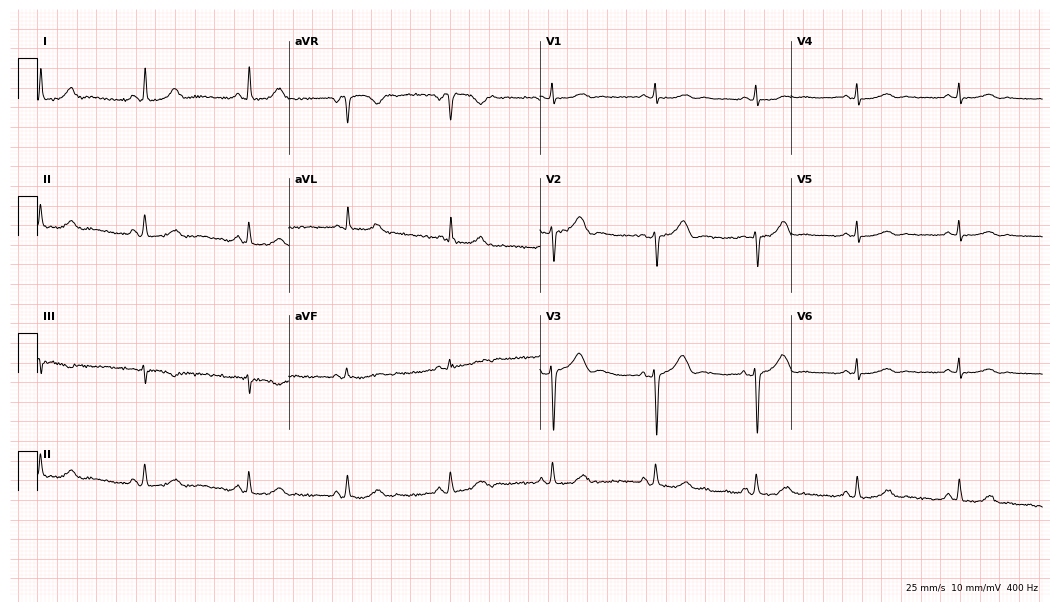
ECG (10.2-second recording at 400 Hz) — a female, 47 years old. Labelled as a normal ECG.